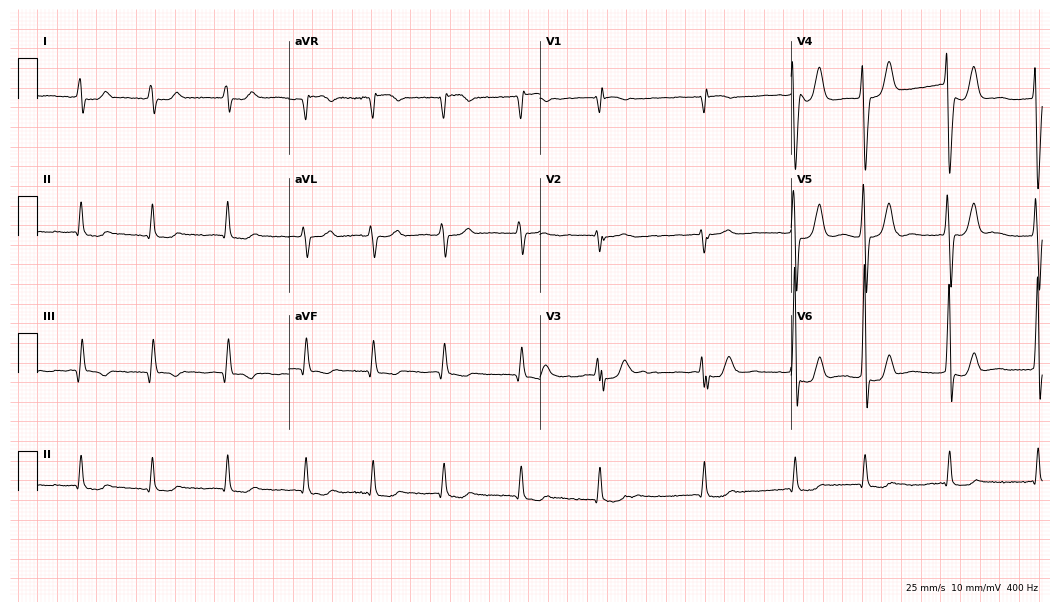
Resting 12-lead electrocardiogram. Patient: a man, 81 years old. The tracing shows atrial fibrillation.